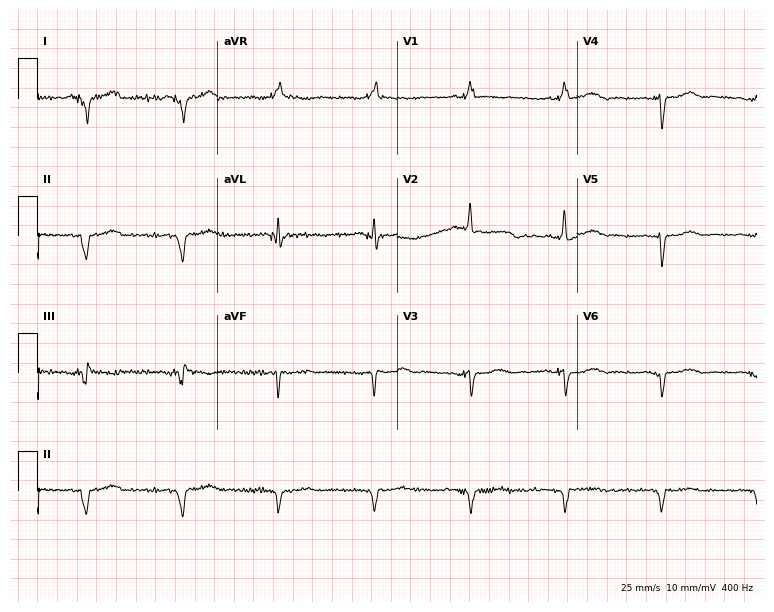
12-lead ECG from a 74-year-old man (7.3-second recording at 400 Hz). No first-degree AV block, right bundle branch block, left bundle branch block, sinus bradycardia, atrial fibrillation or sinus tachycardia recorded for this tracing.